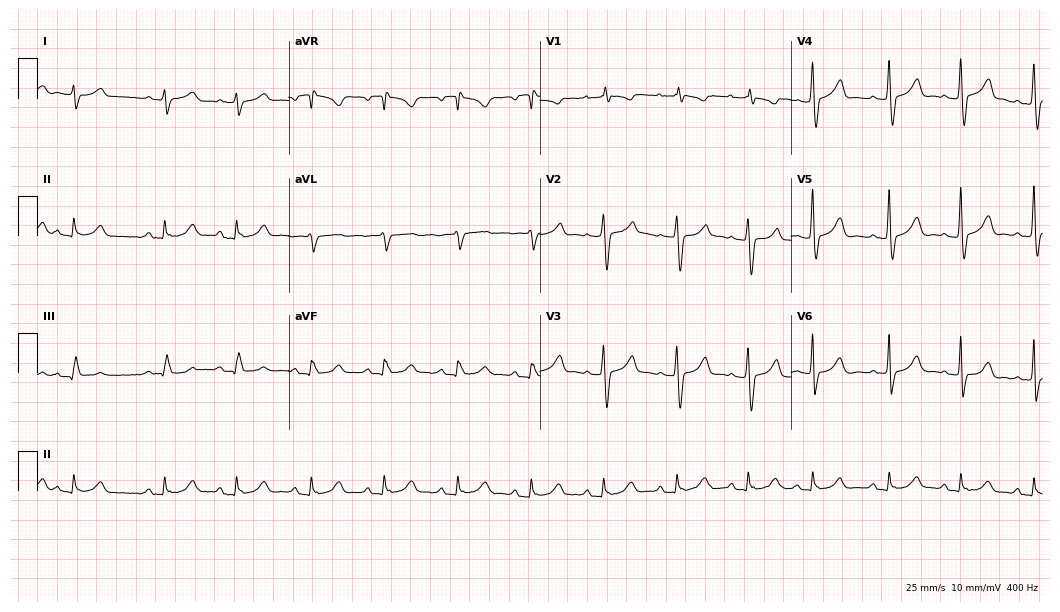
Electrocardiogram, a male, 82 years old. Of the six screened findings (first-degree AV block, right bundle branch block, left bundle branch block, sinus bradycardia, atrial fibrillation, sinus tachycardia), none is recorded.